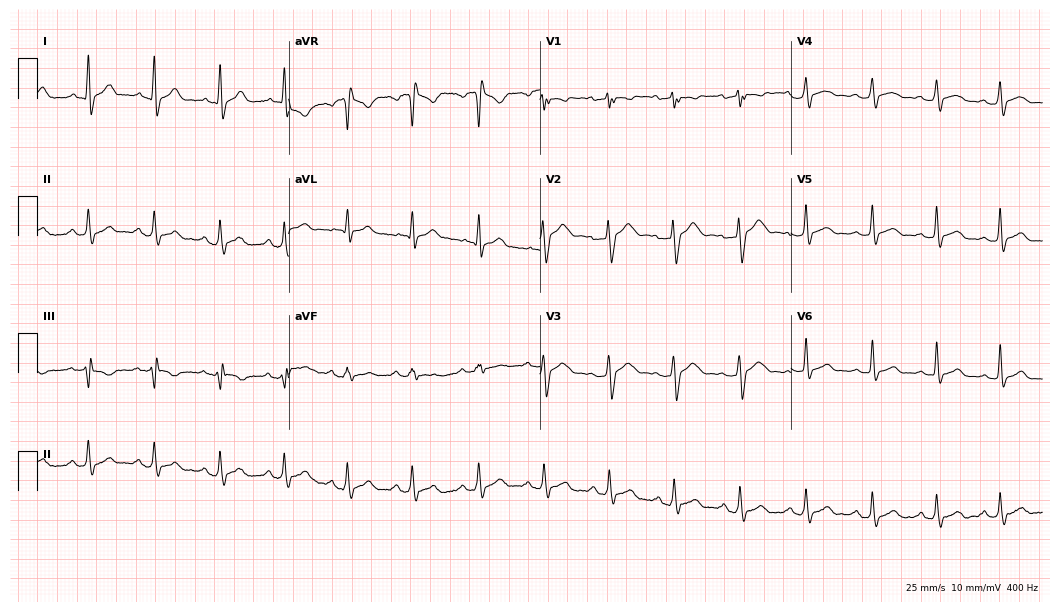
12-lead ECG (10.2-second recording at 400 Hz) from a male, 24 years old. Screened for six findings — first-degree AV block, right bundle branch block (RBBB), left bundle branch block (LBBB), sinus bradycardia, atrial fibrillation (AF), sinus tachycardia — none is recorded. Only these six findings were labelled.